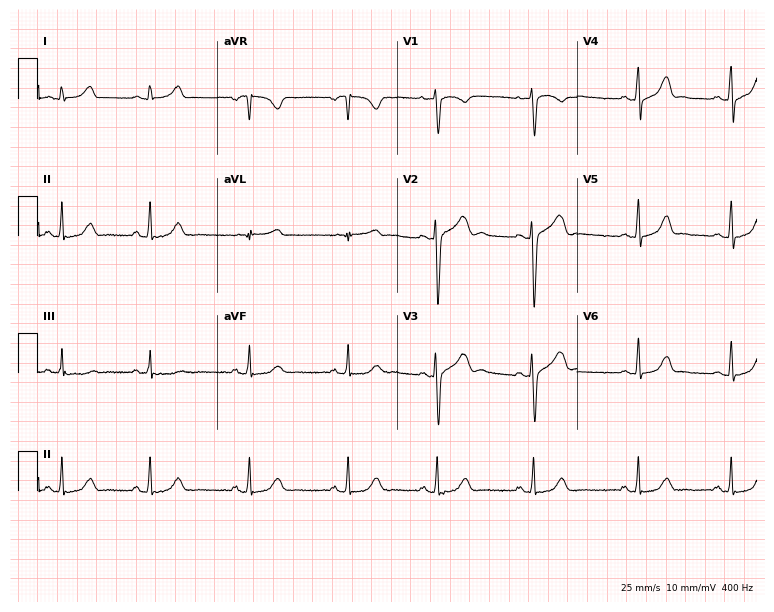
12-lead ECG from a 19-year-old female patient. Labelled as a normal ECG.